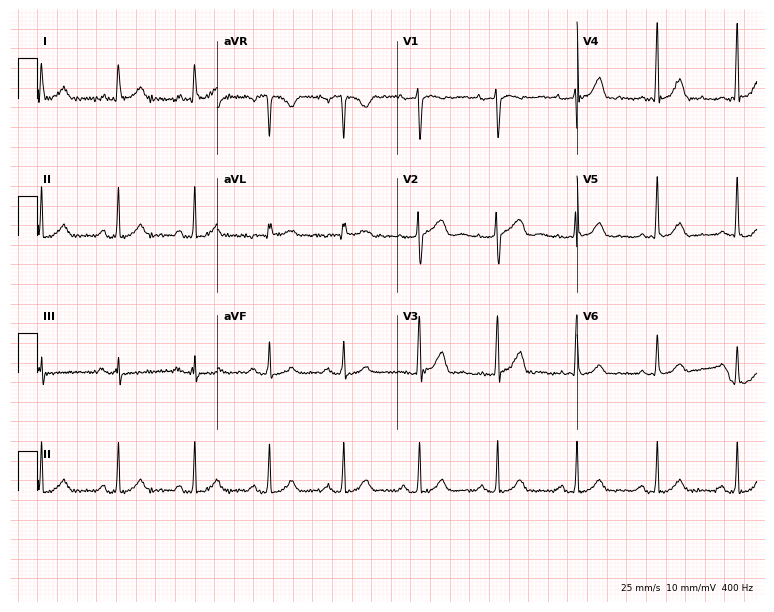
12-lead ECG (7.3-second recording at 400 Hz) from a 47-year-old female. Labelled as a normal ECG.